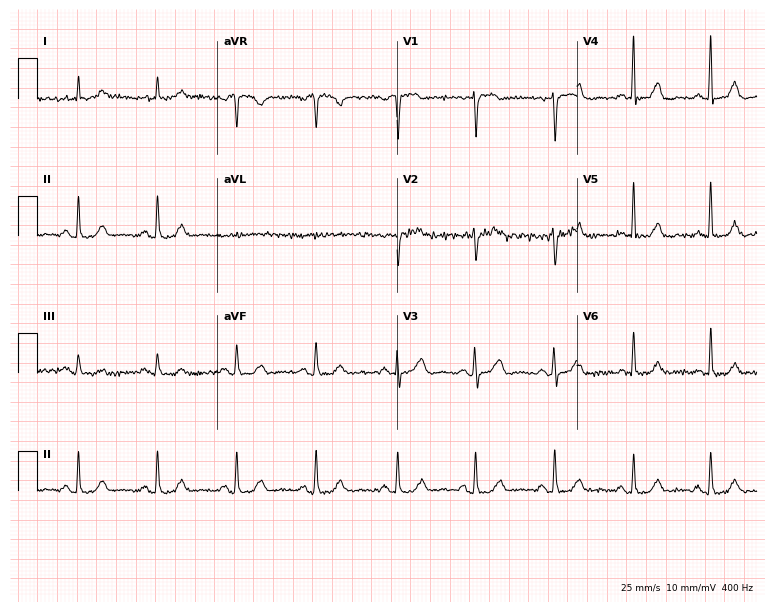
Standard 12-lead ECG recorded from a female patient, 66 years old (7.3-second recording at 400 Hz). Read as a normal ECG.